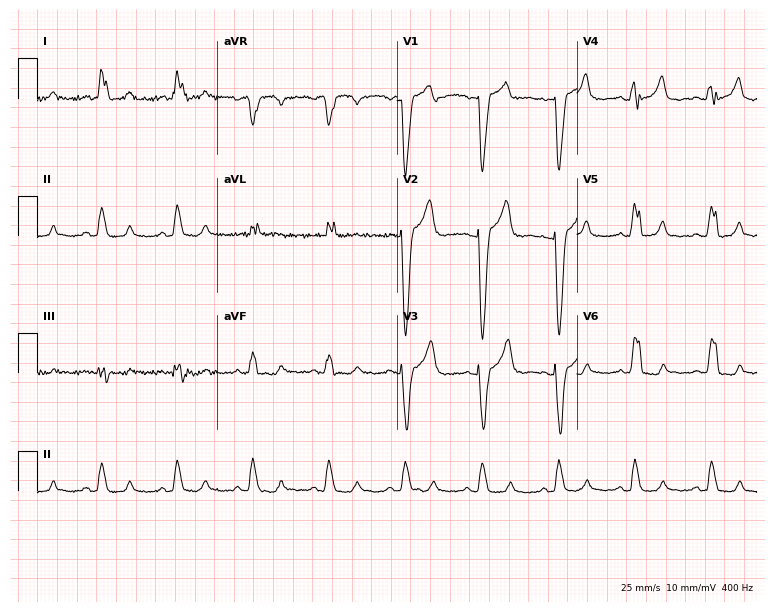
ECG (7.3-second recording at 400 Hz) — a female patient, 62 years old. Findings include left bundle branch block.